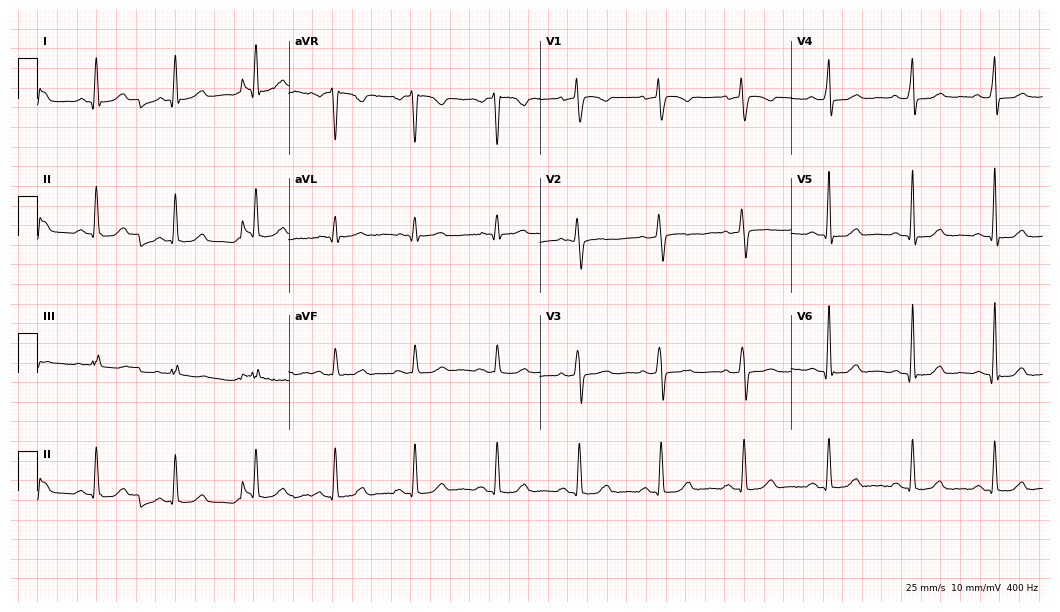
Resting 12-lead electrocardiogram (10.2-second recording at 400 Hz). Patient: a 60-year-old woman. None of these six findings is recorded: first-degree AV block, right bundle branch block, left bundle branch block, sinus bradycardia, atrial fibrillation, sinus tachycardia. Only these six findings were labelled.